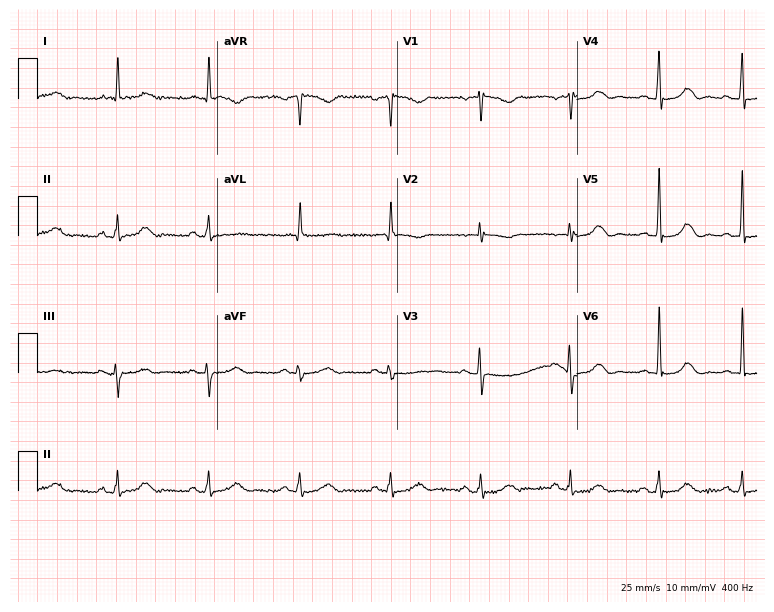
12-lead ECG from a woman, 79 years old. Recorded interpretation: within normal limits.